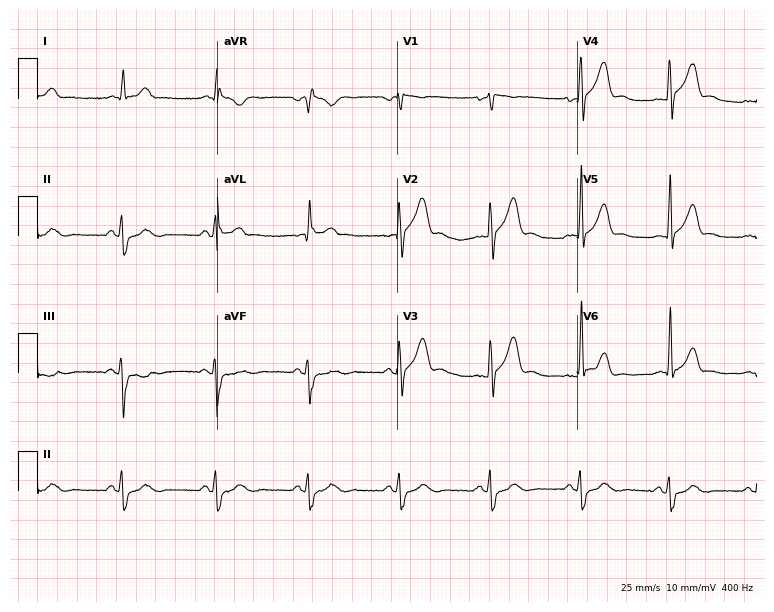
Resting 12-lead electrocardiogram (7.3-second recording at 400 Hz). Patient: a 41-year-old man. None of these six findings is recorded: first-degree AV block, right bundle branch block (RBBB), left bundle branch block (LBBB), sinus bradycardia, atrial fibrillation (AF), sinus tachycardia. Only these six findings were labelled.